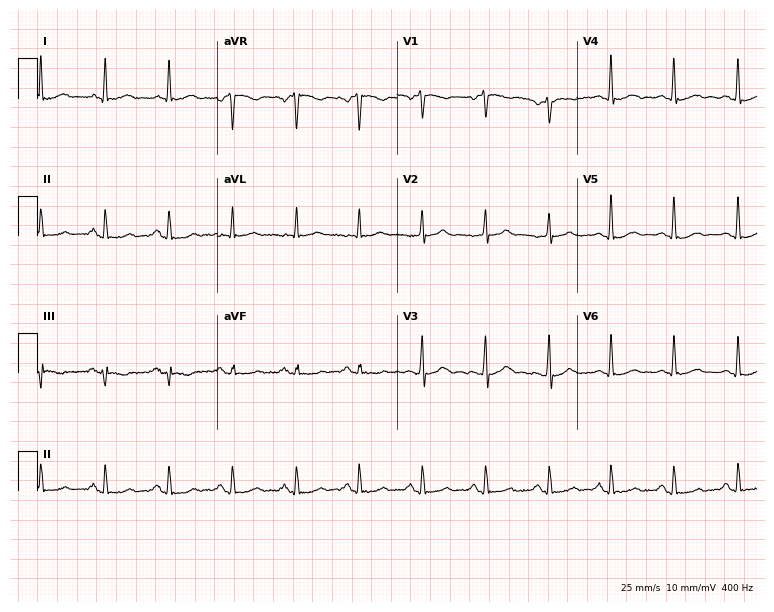
ECG — a 56-year-old male patient. Labelled as a normal ECG.